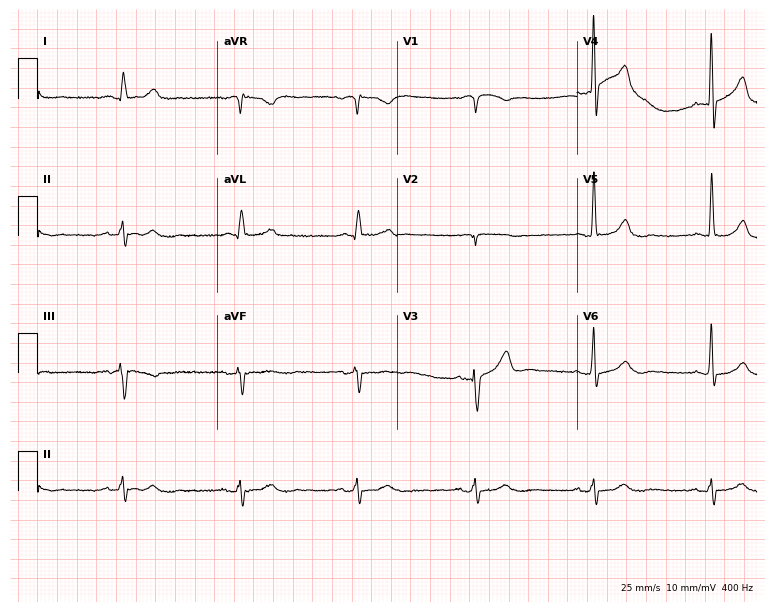
Electrocardiogram (7.3-second recording at 400 Hz), a 76-year-old male. Of the six screened findings (first-degree AV block, right bundle branch block, left bundle branch block, sinus bradycardia, atrial fibrillation, sinus tachycardia), none is recorded. Findings outside these six are not listed.